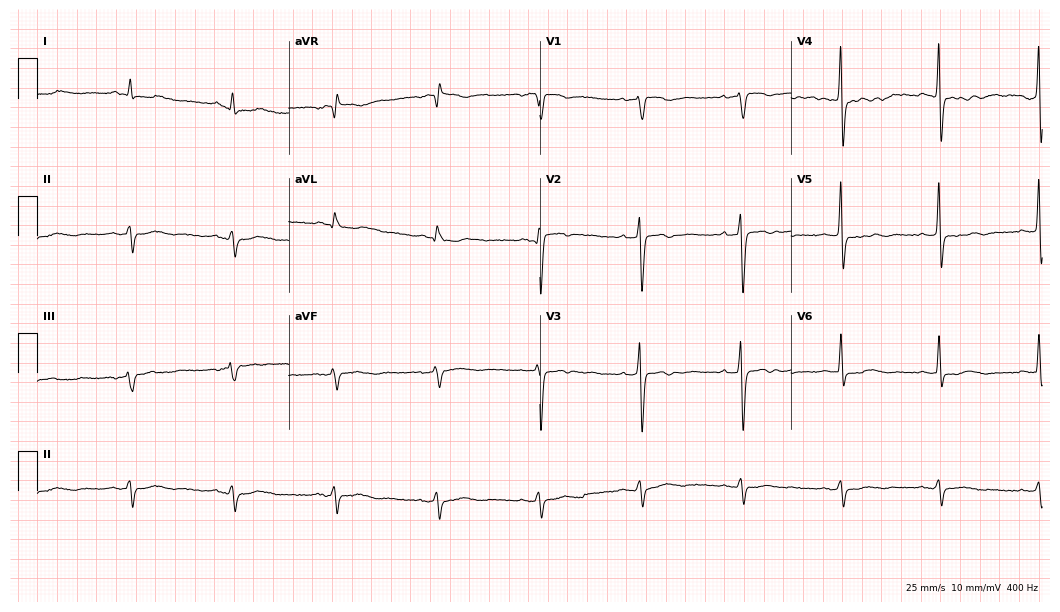
Resting 12-lead electrocardiogram. Patient: a male, 76 years old. None of these six findings is recorded: first-degree AV block, right bundle branch block (RBBB), left bundle branch block (LBBB), sinus bradycardia, atrial fibrillation (AF), sinus tachycardia.